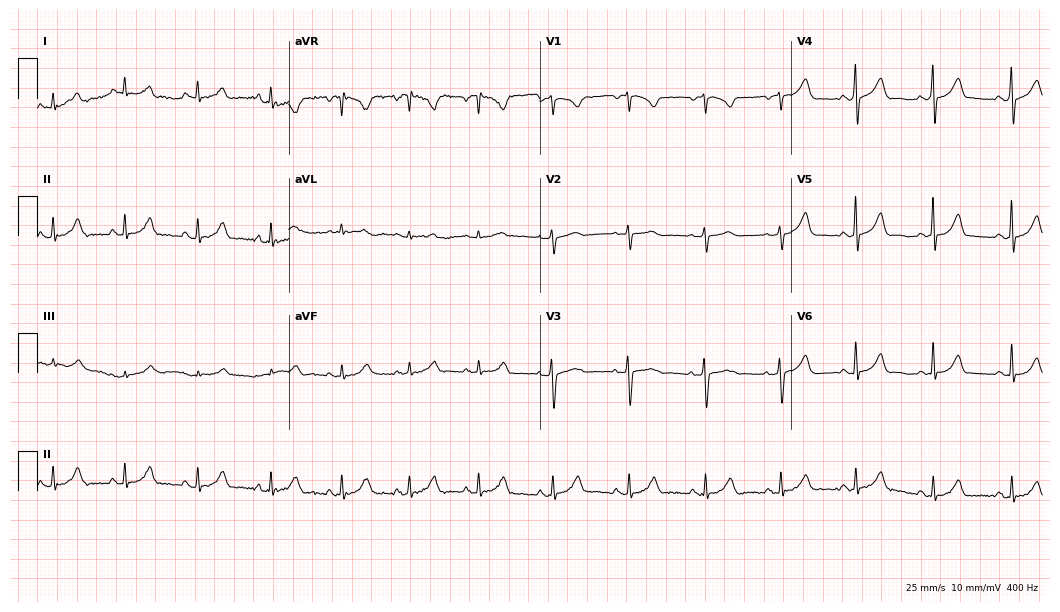
ECG (10.2-second recording at 400 Hz) — a woman, 34 years old. Labelled as a normal ECG.